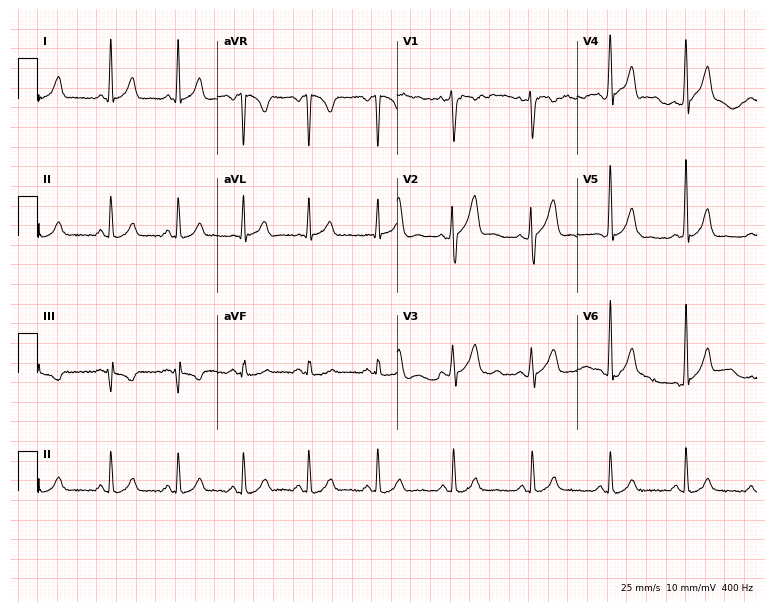
Standard 12-lead ECG recorded from a 27-year-old male patient (7.3-second recording at 400 Hz). None of these six findings is recorded: first-degree AV block, right bundle branch block, left bundle branch block, sinus bradycardia, atrial fibrillation, sinus tachycardia.